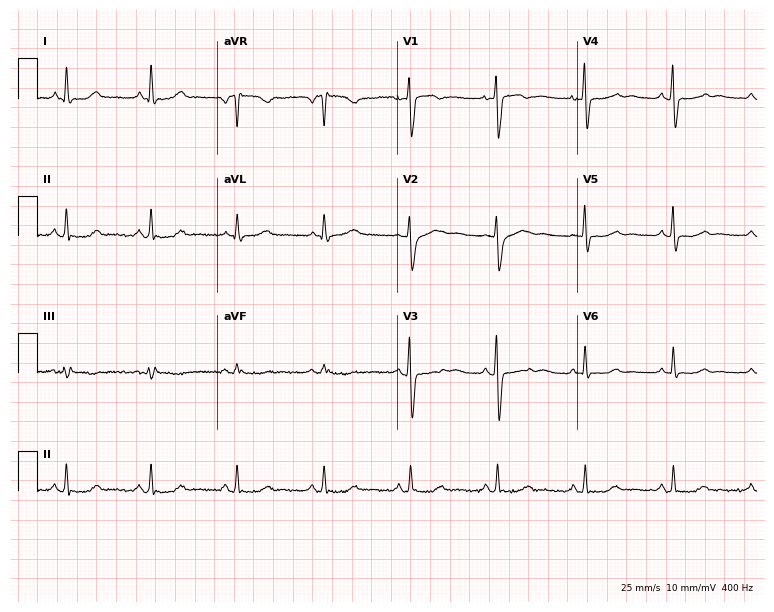
12-lead ECG (7.3-second recording at 400 Hz) from a 62-year-old female patient. Labelled as a normal ECG.